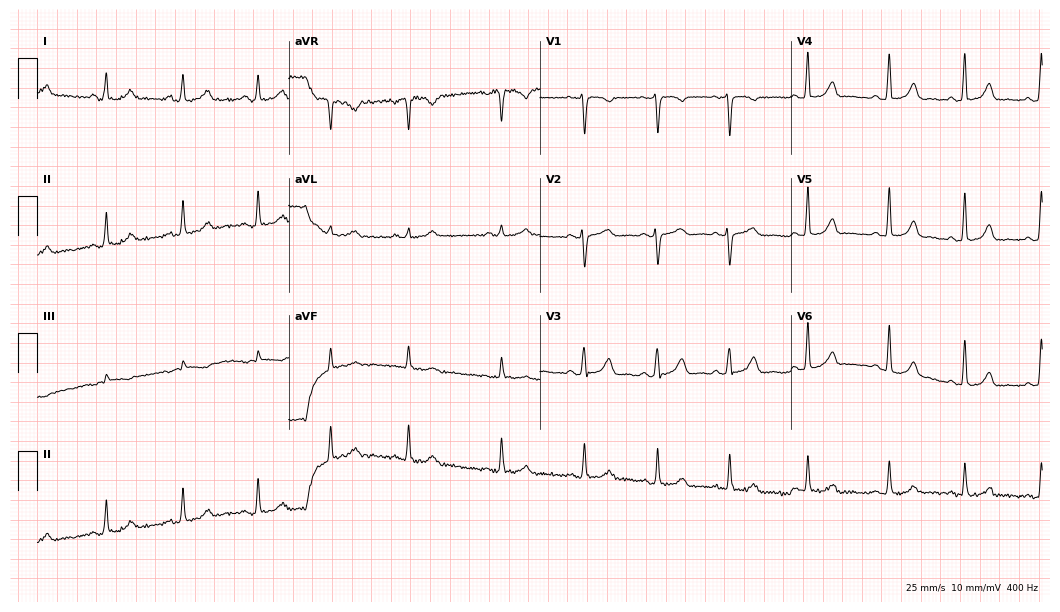
Resting 12-lead electrocardiogram (10.2-second recording at 400 Hz). Patient: a woman, 39 years old. Read as a normal ECG.